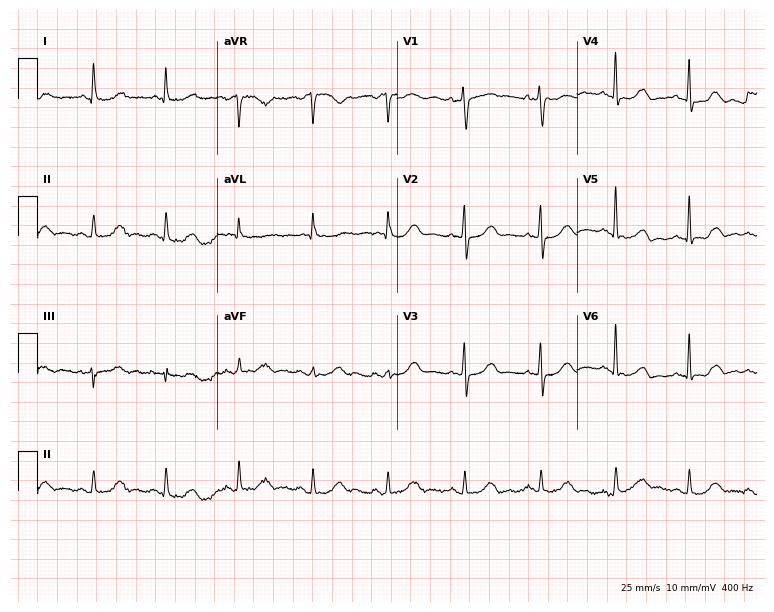
12-lead ECG from a female patient, 81 years old. Labelled as a normal ECG.